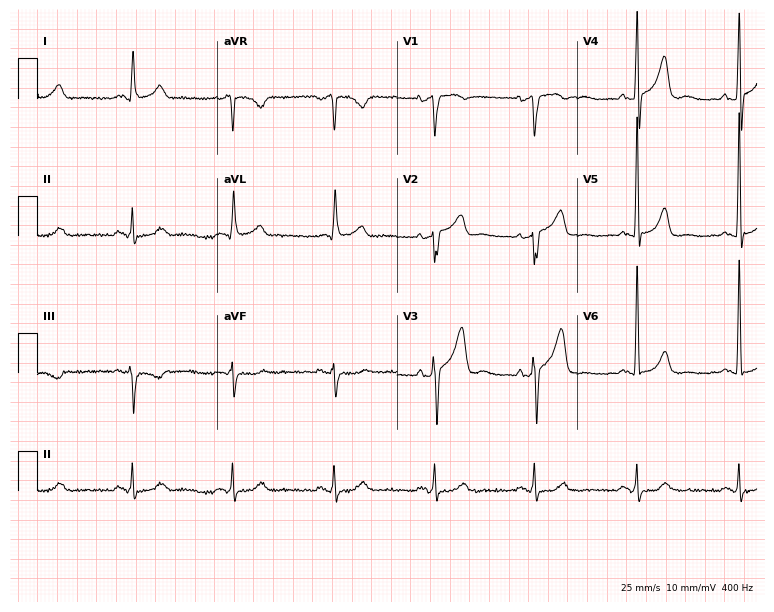
12-lead ECG from a 71-year-old male patient (7.3-second recording at 400 Hz). Recorded interpretation: within normal limits.